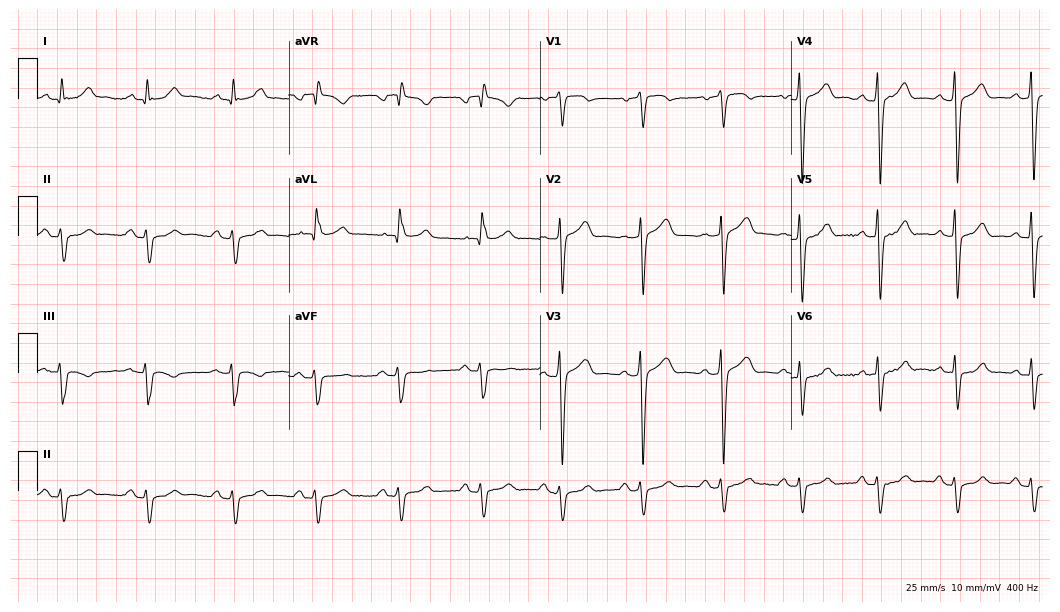
ECG (10.2-second recording at 400 Hz) — an 85-year-old male. Screened for six findings — first-degree AV block, right bundle branch block (RBBB), left bundle branch block (LBBB), sinus bradycardia, atrial fibrillation (AF), sinus tachycardia — none is recorded. Other findings, if any, are not listed.